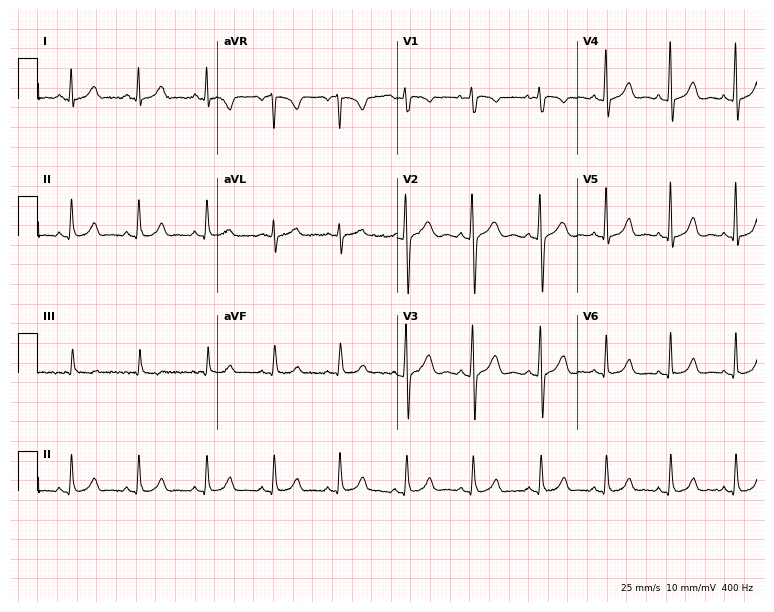
Electrocardiogram, a woman, 41 years old. Of the six screened findings (first-degree AV block, right bundle branch block (RBBB), left bundle branch block (LBBB), sinus bradycardia, atrial fibrillation (AF), sinus tachycardia), none is recorded. Findings outside these six are not listed.